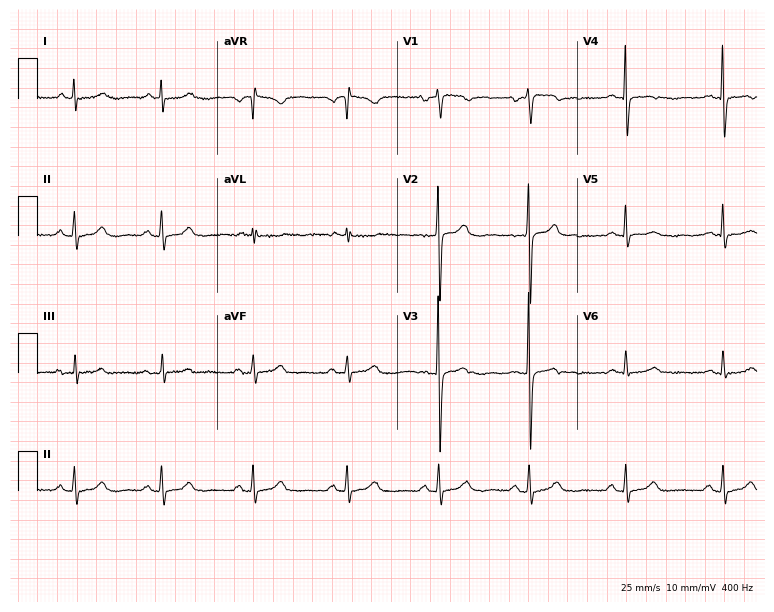
Standard 12-lead ECG recorded from a 46-year-old female (7.3-second recording at 400 Hz). None of these six findings is recorded: first-degree AV block, right bundle branch block (RBBB), left bundle branch block (LBBB), sinus bradycardia, atrial fibrillation (AF), sinus tachycardia. Findings outside these six are not listed.